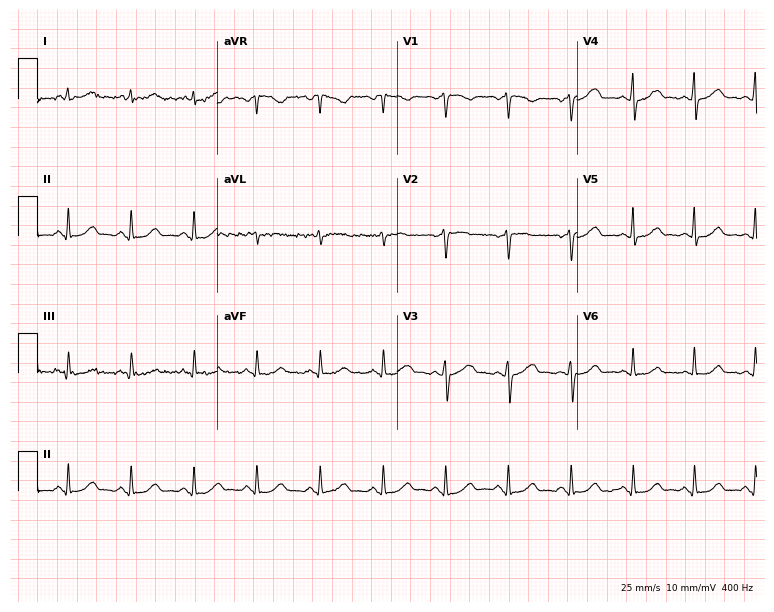
12-lead ECG (7.3-second recording at 400 Hz) from a 54-year-old female. Labelled as a normal ECG.